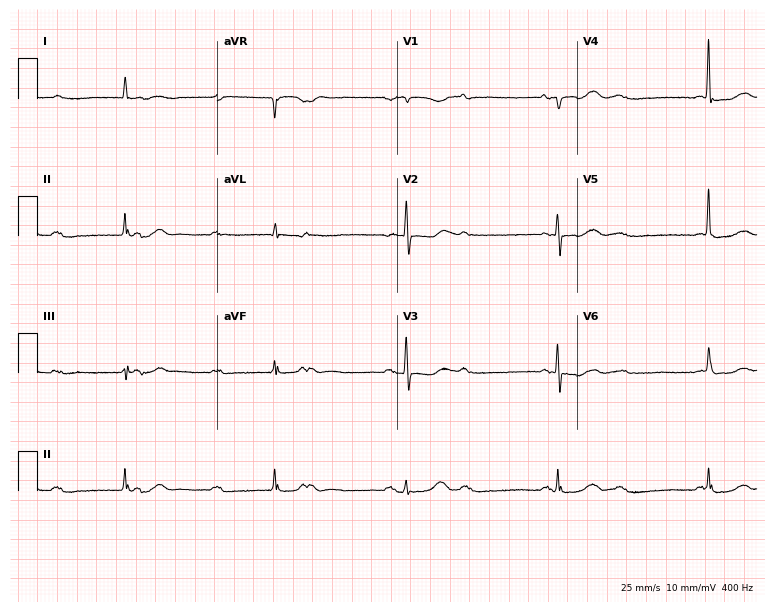
ECG (7.3-second recording at 400 Hz) — a female patient, 81 years old. Screened for six findings — first-degree AV block, right bundle branch block (RBBB), left bundle branch block (LBBB), sinus bradycardia, atrial fibrillation (AF), sinus tachycardia — none is recorded.